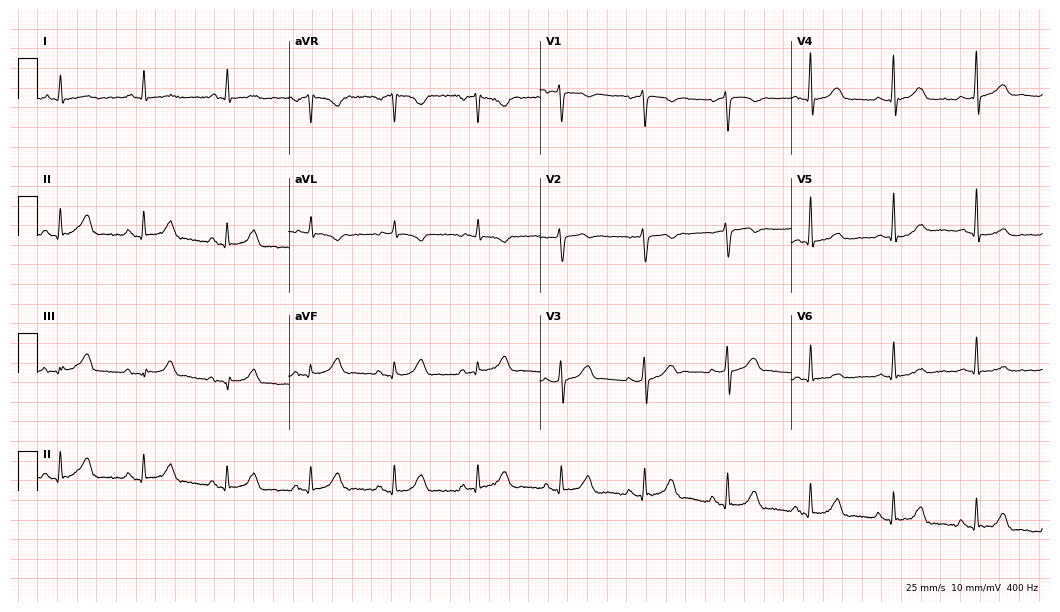
Electrocardiogram (10.2-second recording at 400 Hz), a 68-year-old male patient. Of the six screened findings (first-degree AV block, right bundle branch block, left bundle branch block, sinus bradycardia, atrial fibrillation, sinus tachycardia), none is recorded.